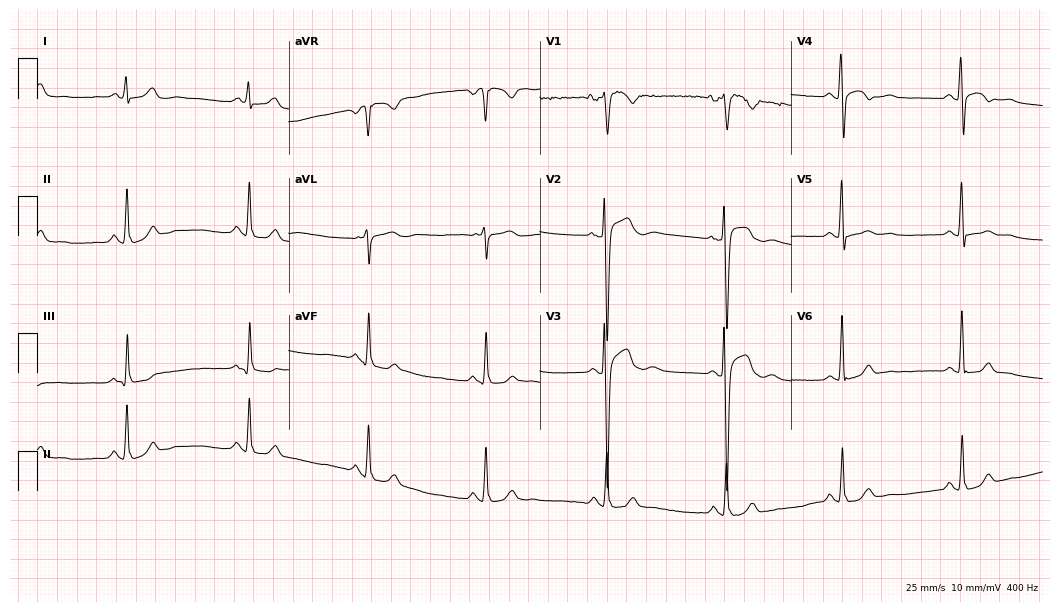
ECG (10.2-second recording at 400 Hz) — a 41-year-old male patient. Screened for six findings — first-degree AV block, right bundle branch block (RBBB), left bundle branch block (LBBB), sinus bradycardia, atrial fibrillation (AF), sinus tachycardia — none is recorded.